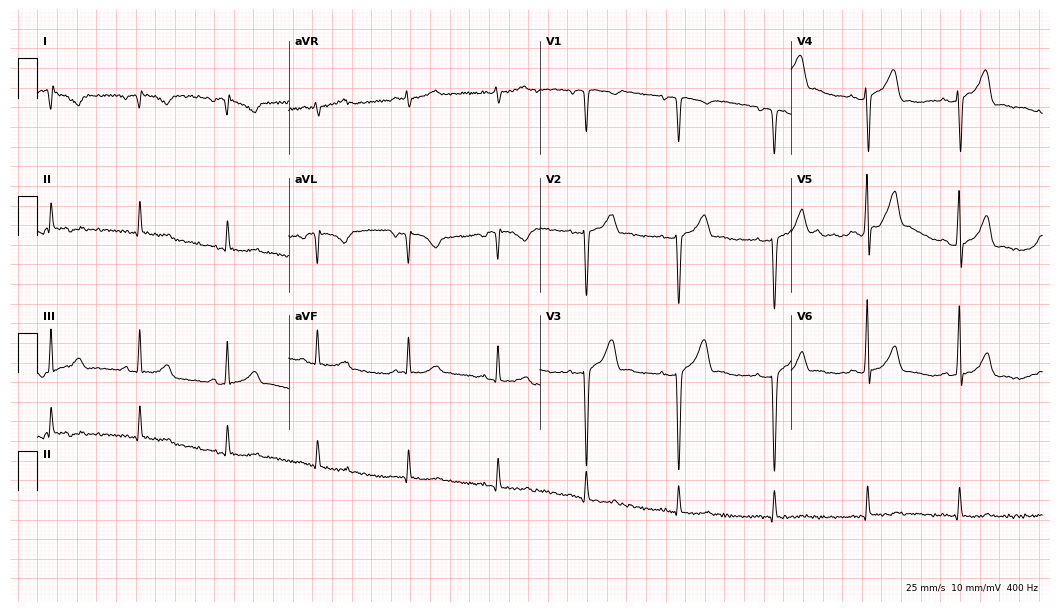
Standard 12-lead ECG recorded from a 39-year-old male (10.2-second recording at 400 Hz). None of these six findings is recorded: first-degree AV block, right bundle branch block, left bundle branch block, sinus bradycardia, atrial fibrillation, sinus tachycardia. Only these six findings were labelled.